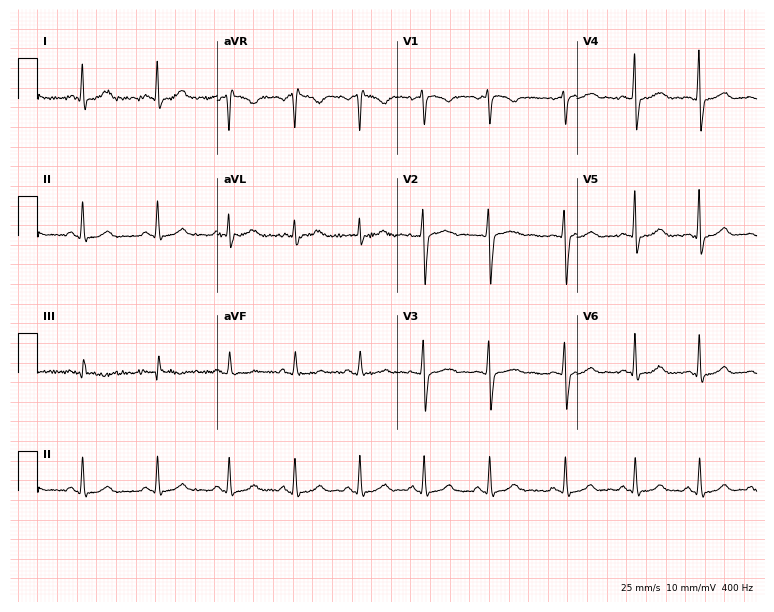
ECG — a 39-year-old female patient. Screened for six findings — first-degree AV block, right bundle branch block, left bundle branch block, sinus bradycardia, atrial fibrillation, sinus tachycardia — none is recorded.